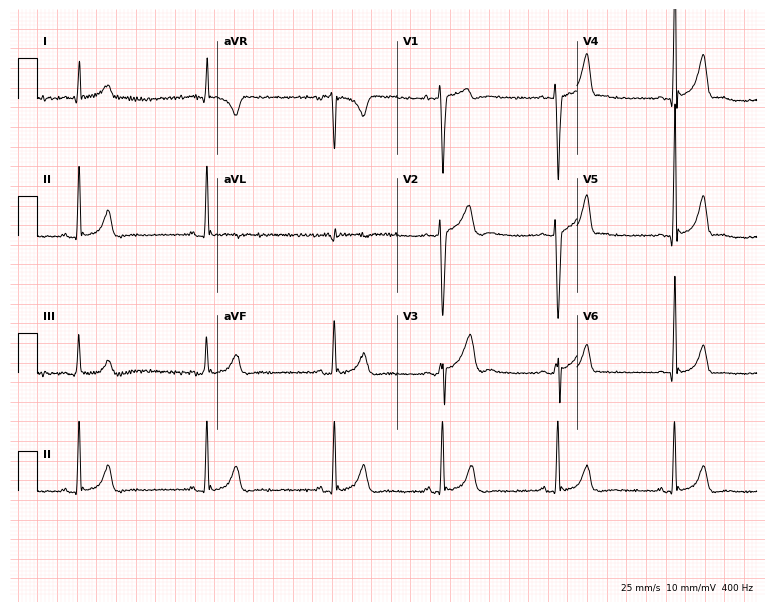
Electrocardiogram, a male patient, 17 years old. Of the six screened findings (first-degree AV block, right bundle branch block (RBBB), left bundle branch block (LBBB), sinus bradycardia, atrial fibrillation (AF), sinus tachycardia), none is recorded. Findings outside these six are not listed.